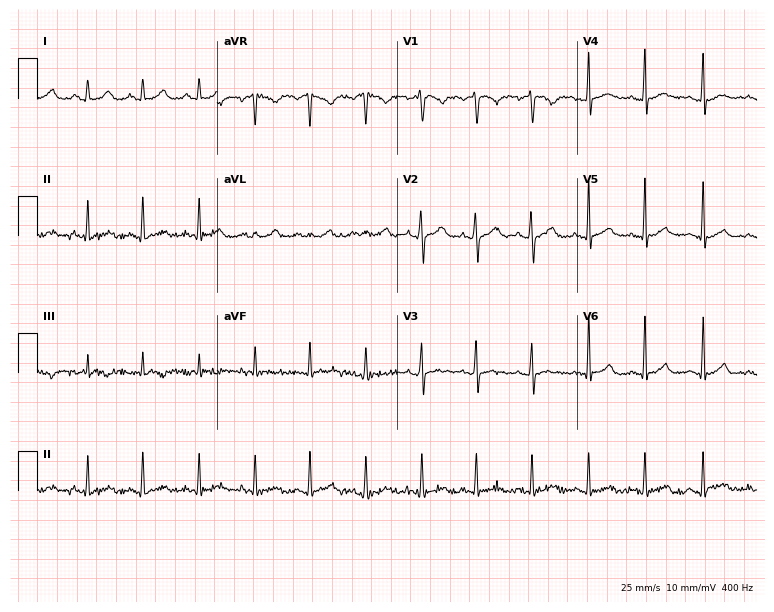
12-lead ECG from a 21-year-old female patient. Screened for six findings — first-degree AV block, right bundle branch block, left bundle branch block, sinus bradycardia, atrial fibrillation, sinus tachycardia — none is recorded.